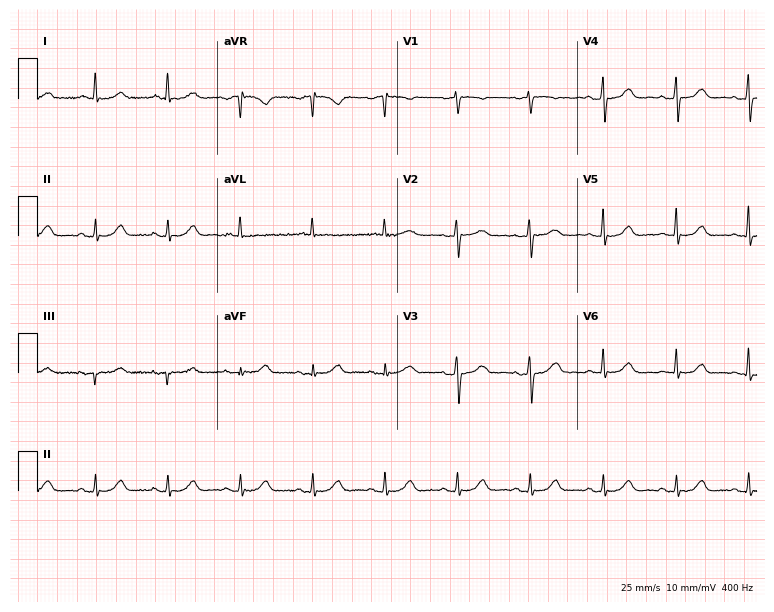
ECG — a female, 84 years old. Screened for six findings — first-degree AV block, right bundle branch block, left bundle branch block, sinus bradycardia, atrial fibrillation, sinus tachycardia — none is recorded. Findings outside these six are not listed.